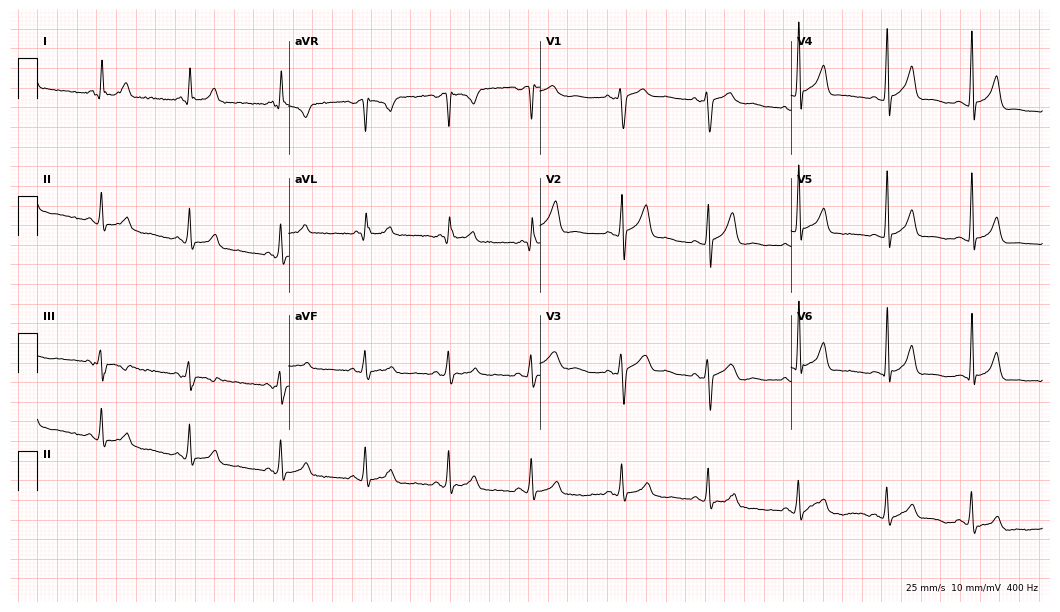
ECG — a male, 27 years old. Labelled as a normal ECG.